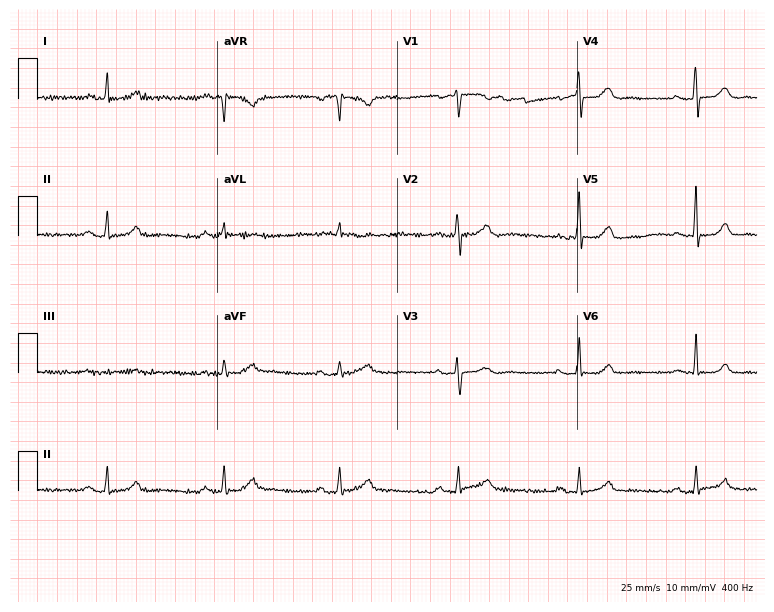
12-lead ECG from a female, 68 years old. No first-degree AV block, right bundle branch block (RBBB), left bundle branch block (LBBB), sinus bradycardia, atrial fibrillation (AF) or sinus tachycardia recorded for this tracing.